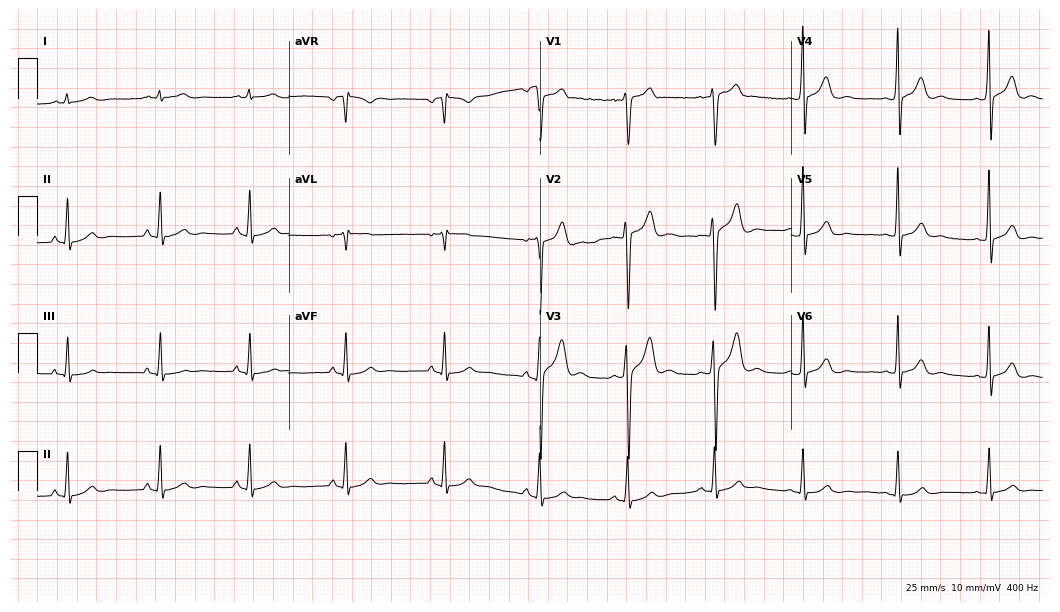
Standard 12-lead ECG recorded from a 19-year-old male (10.2-second recording at 400 Hz). None of these six findings is recorded: first-degree AV block, right bundle branch block (RBBB), left bundle branch block (LBBB), sinus bradycardia, atrial fibrillation (AF), sinus tachycardia.